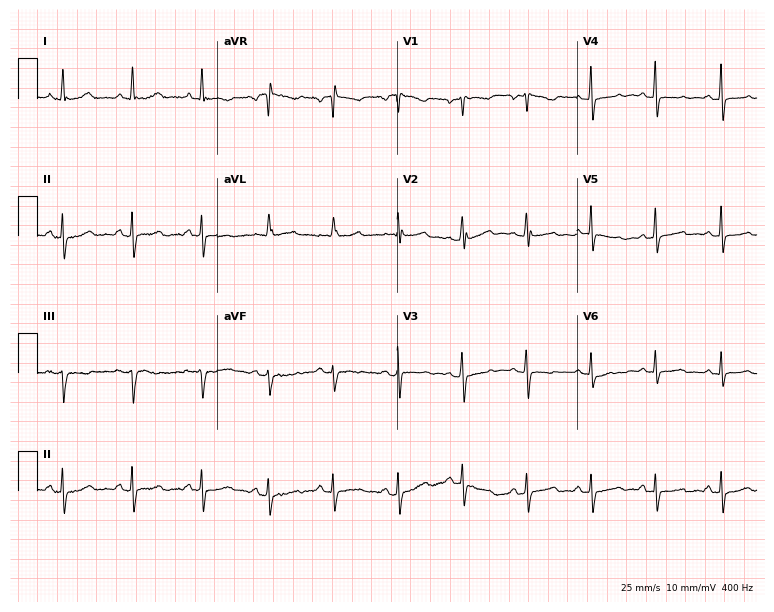
12-lead ECG from a 33-year-old female patient. Screened for six findings — first-degree AV block, right bundle branch block, left bundle branch block, sinus bradycardia, atrial fibrillation, sinus tachycardia — none is recorded.